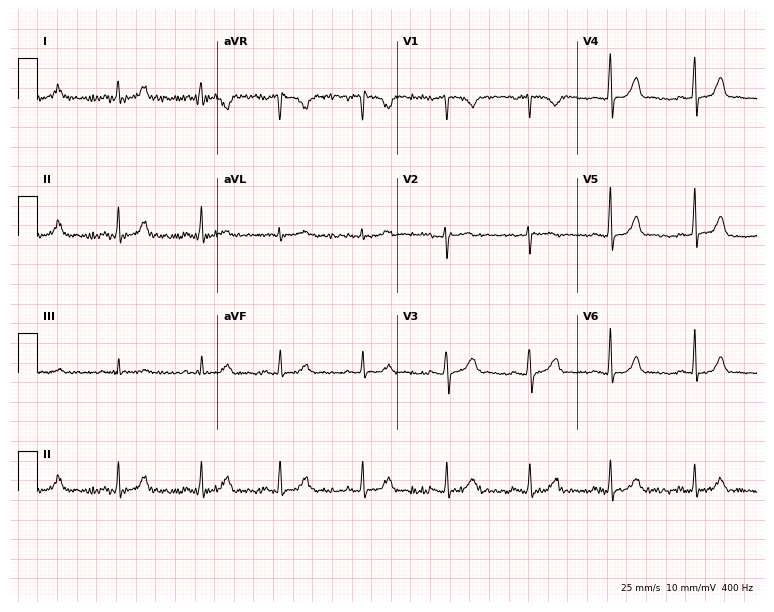
12-lead ECG from a female, 46 years old. Labelled as a normal ECG.